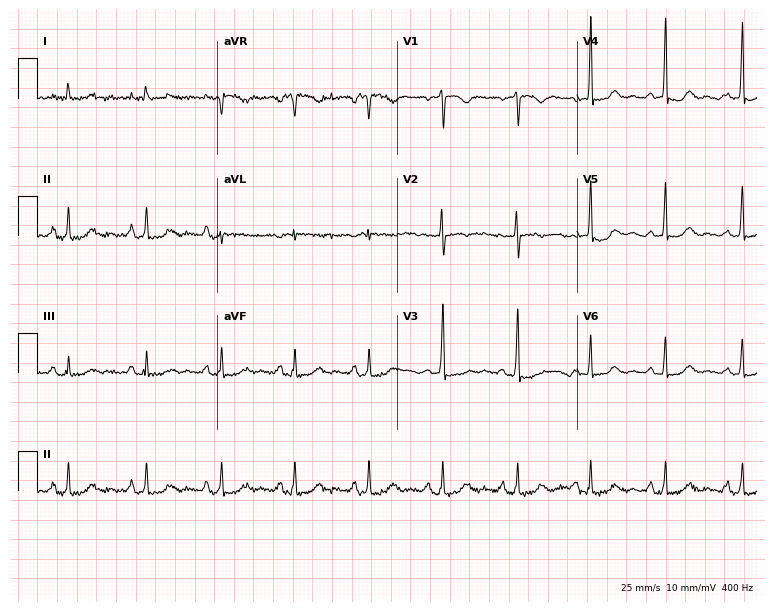
12-lead ECG (7.3-second recording at 400 Hz) from a 38-year-old woman. Labelled as a normal ECG.